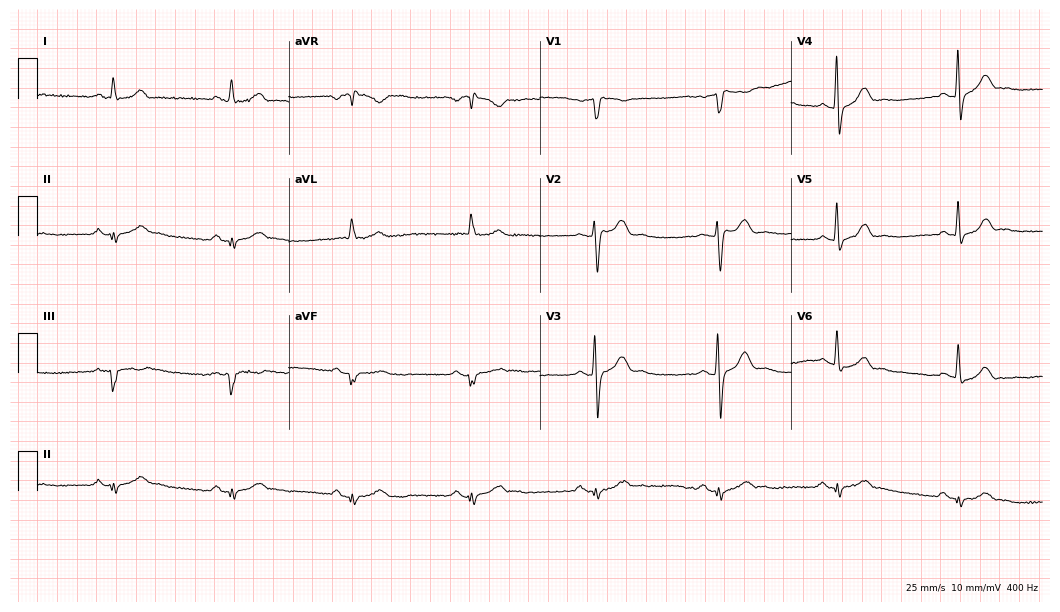
Resting 12-lead electrocardiogram. Patient: a male, 63 years old. None of these six findings is recorded: first-degree AV block, right bundle branch block, left bundle branch block, sinus bradycardia, atrial fibrillation, sinus tachycardia.